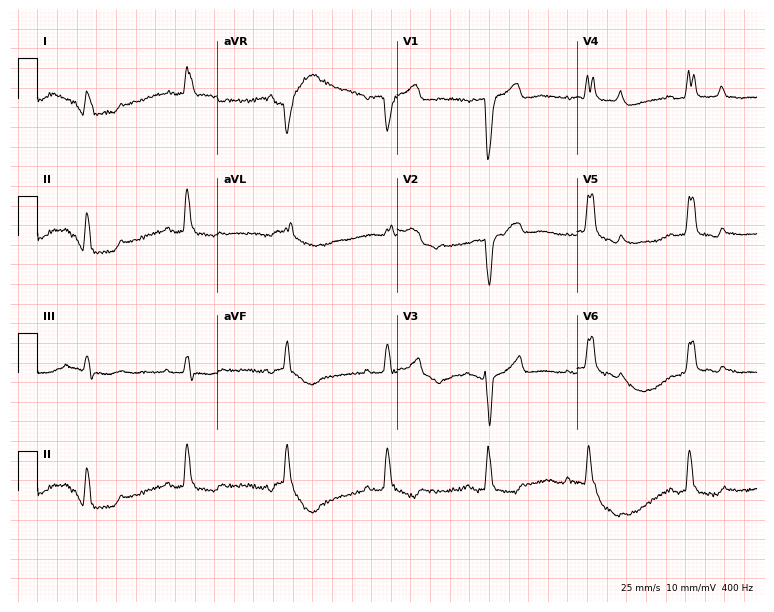
12-lead ECG from a 79-year-old male. Findings include left bundle branch block.